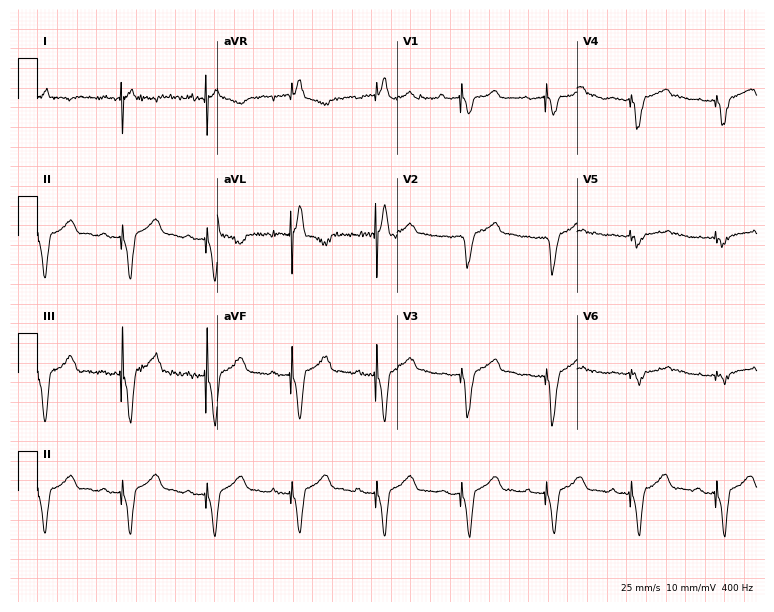
ECG (7.3-second recording at 400 Hz) — a male patient, 65 years old. Screened for six findings — first-degree AV block, right bundle branch block, left bundle branch block, sinus bradycardia, atrial fibrillation, sinus tachycardia — none is recorded.